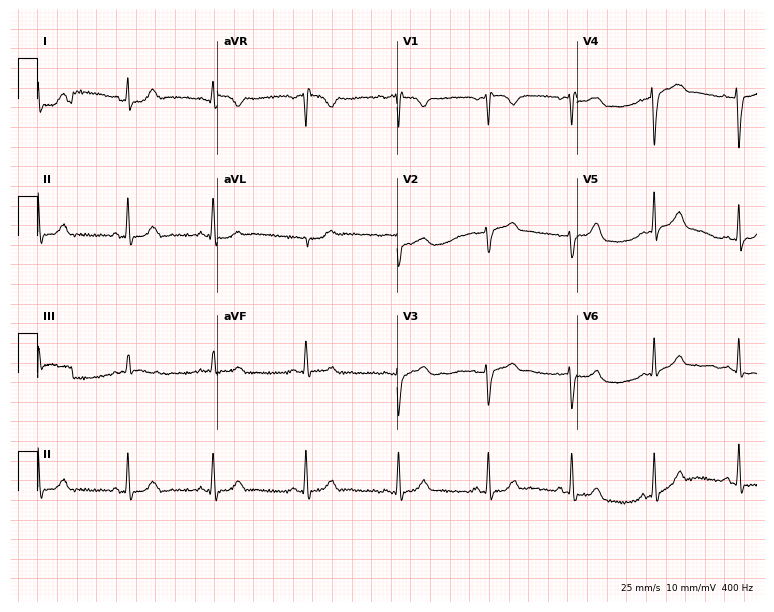
Standard 12-lead ECG recorded from a 25-year-old female patient (7.3-second recording at 400 Hz). None of these six findings is recorded: first-degree AV block, right bundle branch block (RBBB), left bundle branch block (LBBB), sinus bradycardia, atrial fibrillation (AF), sinus tachycardia.